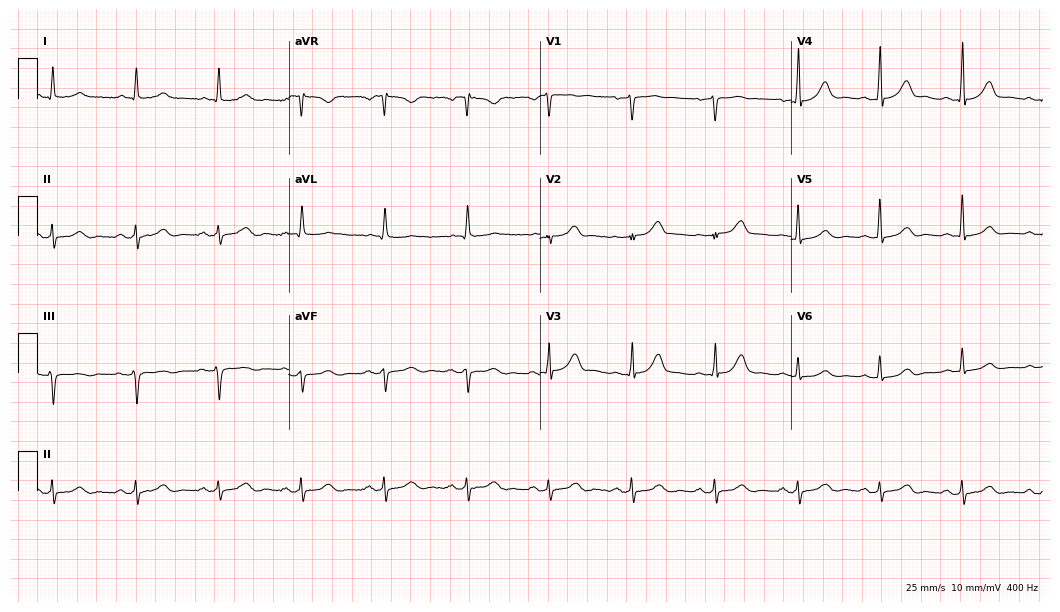
ECG (10.2-second recording at 400 Hz) — a female patient, 67 years old. Labelled as a normal ECG.